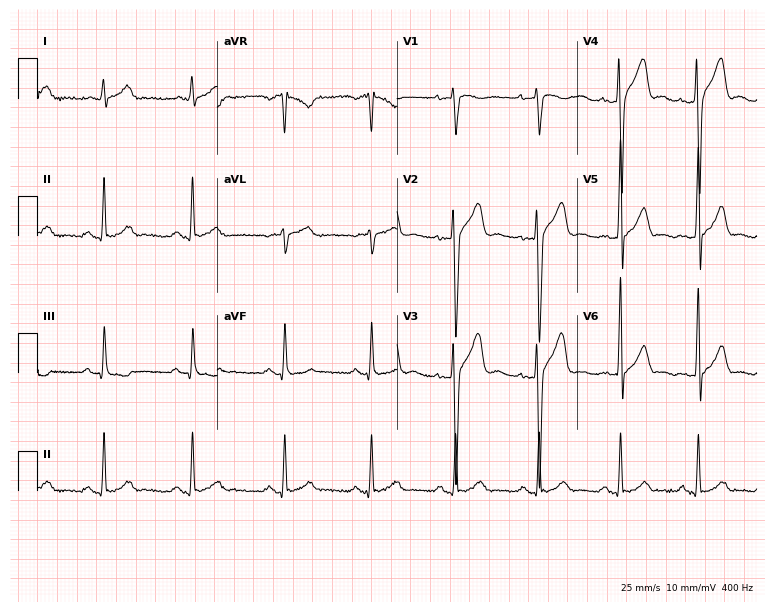
12-lead ECG from a man, 31 years old (7.3-second recording at 400 Hz). Recorded interpretation: within normal limits.